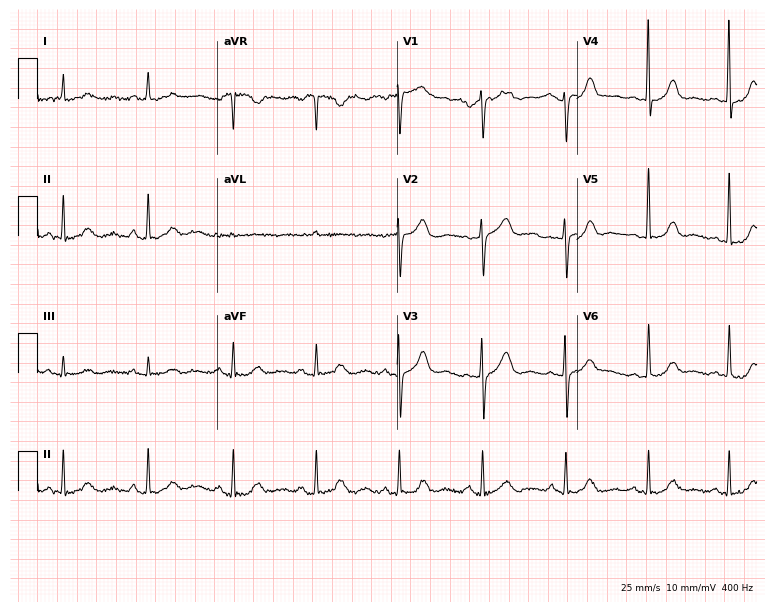
Standard 12-lead ECG recorded from a female patient, 77 years old. Read as a normal ECG.